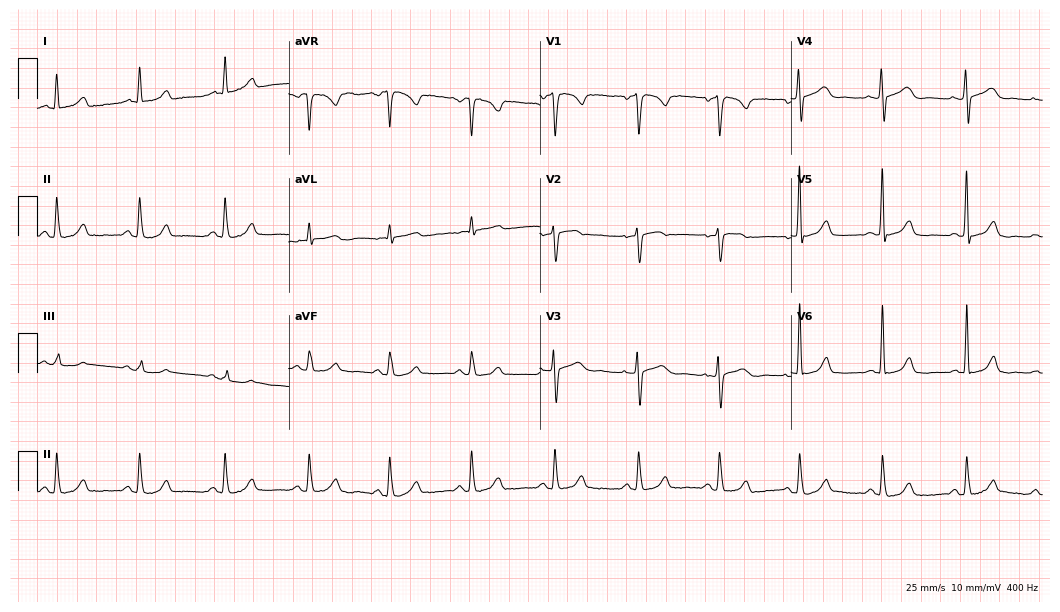
Standard 12-lead ECG recorded from a woman, 48 years old (10.2-second recording at 400 Hz). Read as a normal ECG.